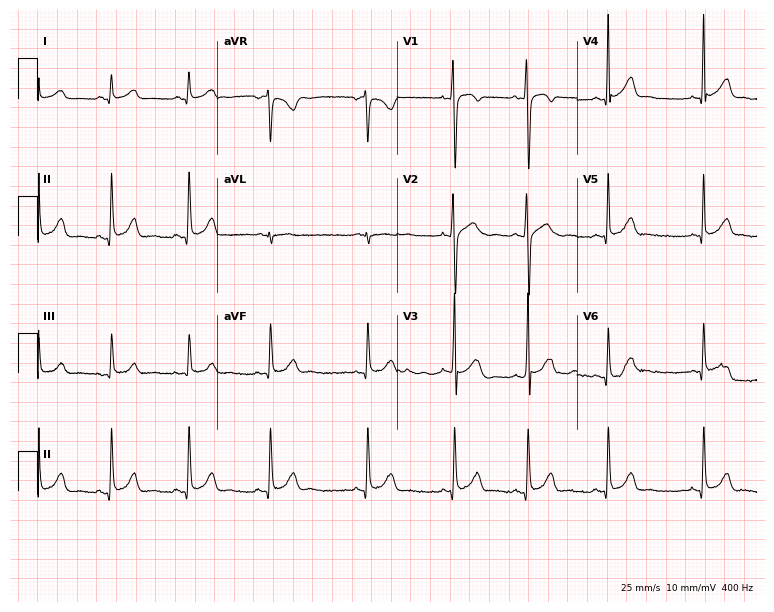
Standard 12-lead ECG recorded from a 19-year-old female. Read as a normal ECG.